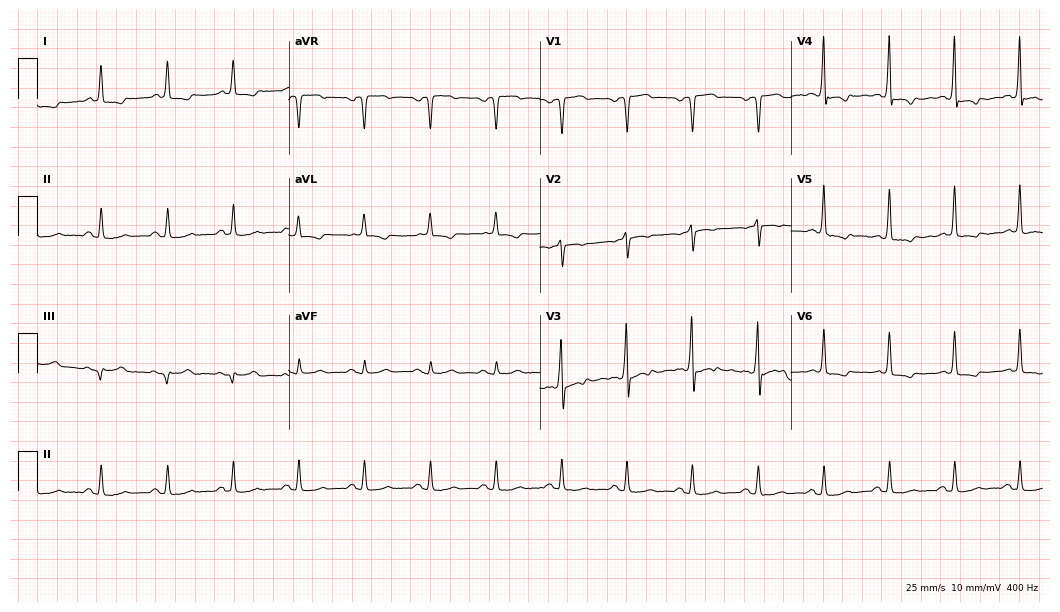
12-lead ECG from a 77-year-old male patient. Screened for six findings — first-degree AV block, right bundle branch block, left bundle branch block, sinus bradycardia, atrial fibrillation, sinus tachycardia — none is recorded. Findings outside these six are not listed.